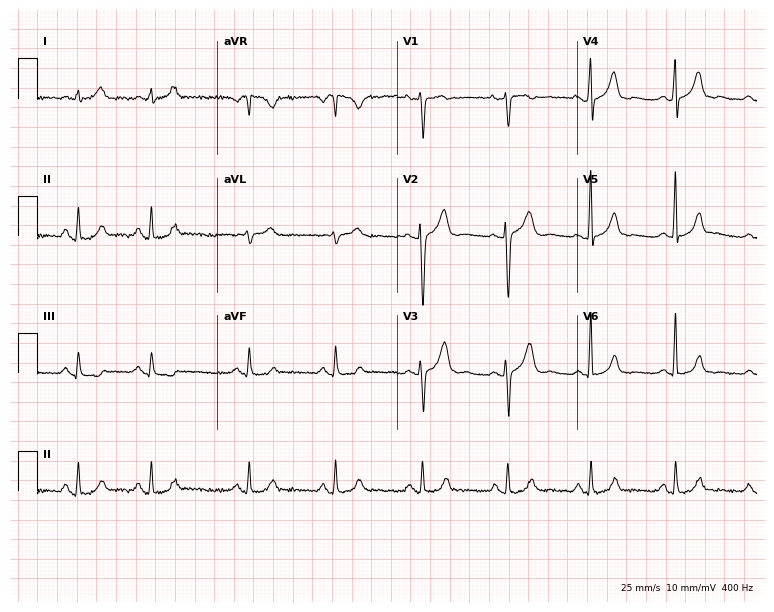
Resting 12-lead electrocardiogram (7.3-second recording at 400 Hz). Patient: a 45-year-old woman. Read as a normal ECG.